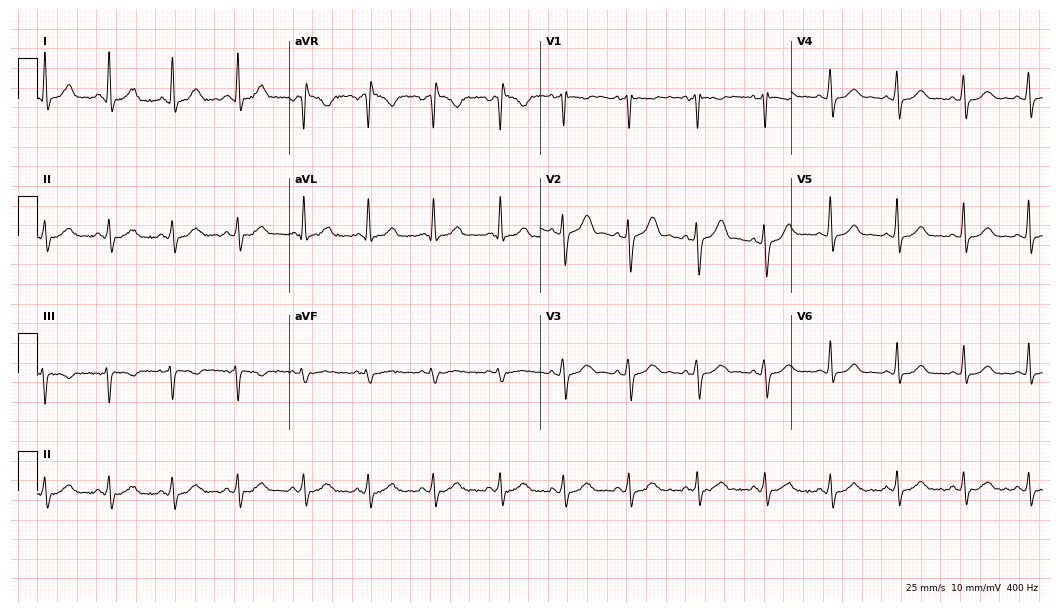
12-lead ECG from a 20-year-old female. Recorded interpretation: within normal limits.